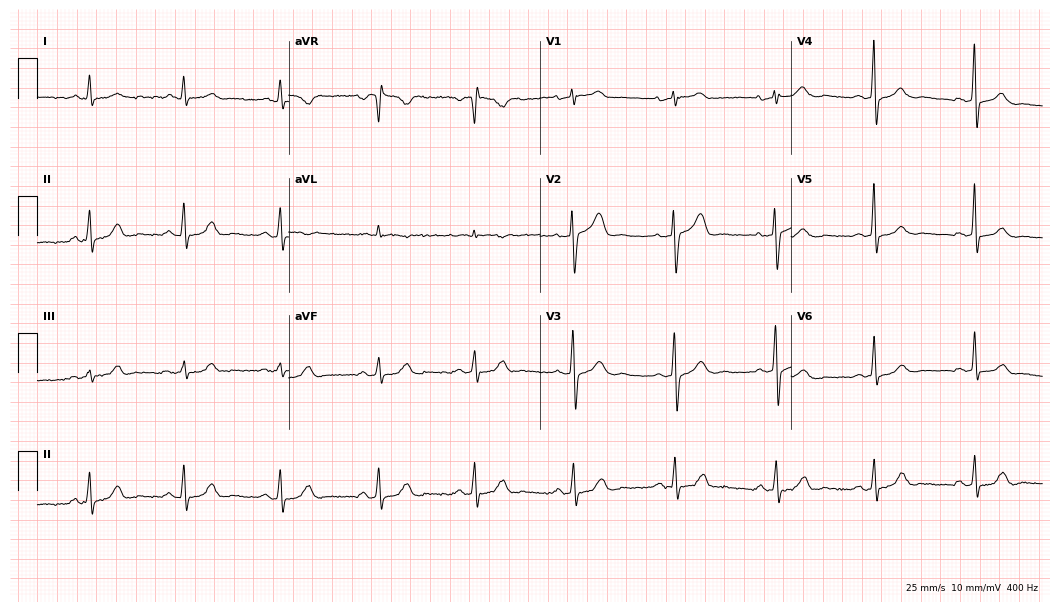
Standard 12-lead ECG recorded from a 63-year-old female. Read as a normal ECG.